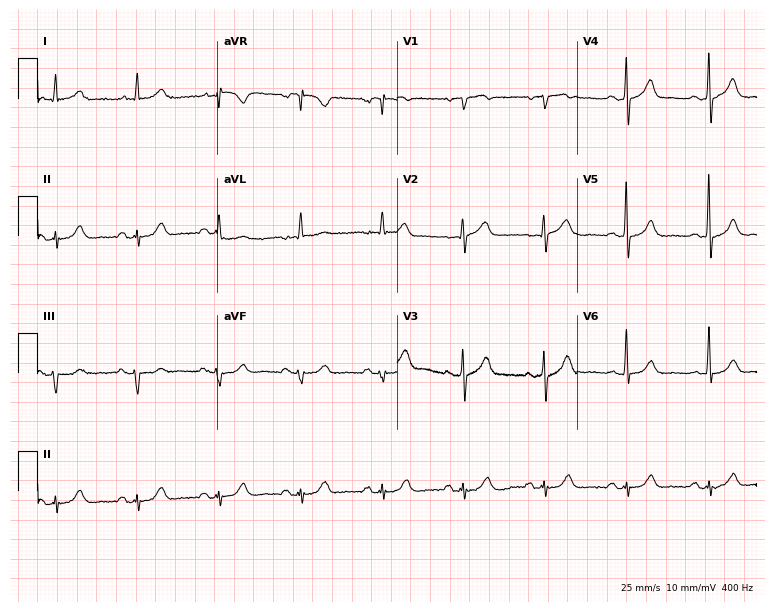
ECG (7.3-second recording at 400 Hz) — a man, 72 years old. Screened for six findings — first-degree AV block, right bundle branch block, left bundle branch block, sinus bradycardia, atrial fibrillation, sinus tachycardia — none is recorded. Other findings, if any, are not listed.